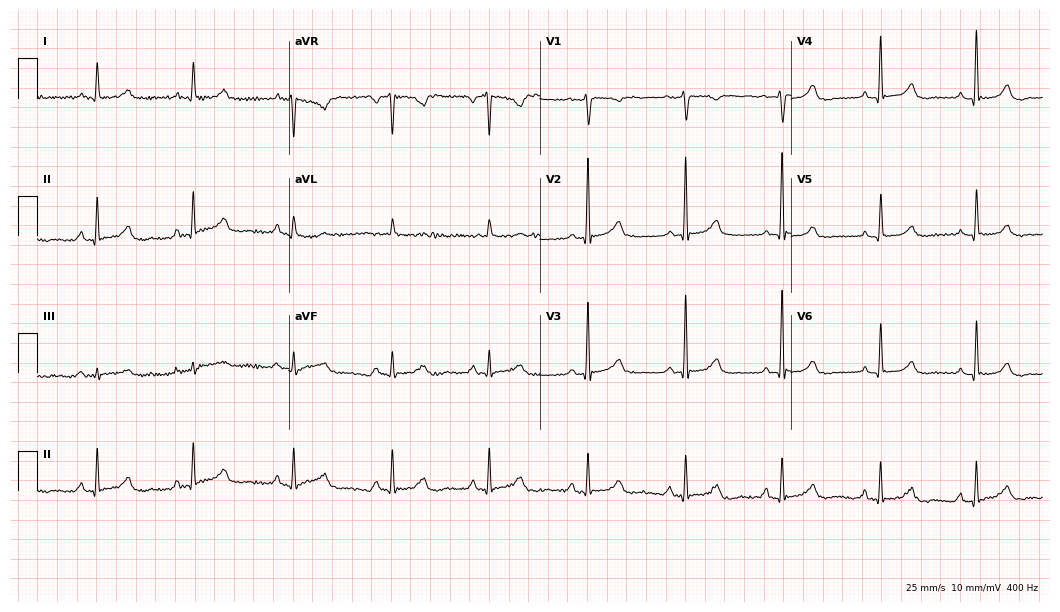
ECG (10.2-second recording at 400 Hz) — a female patient, 65 years old. Screened for six findings — first-degree AV block, right bundle branch block (RBBB), left bundle branch block (LBBB), sinus bradycardia, atrial fibrillation (AF), sinus tachycardia — none is recorded.